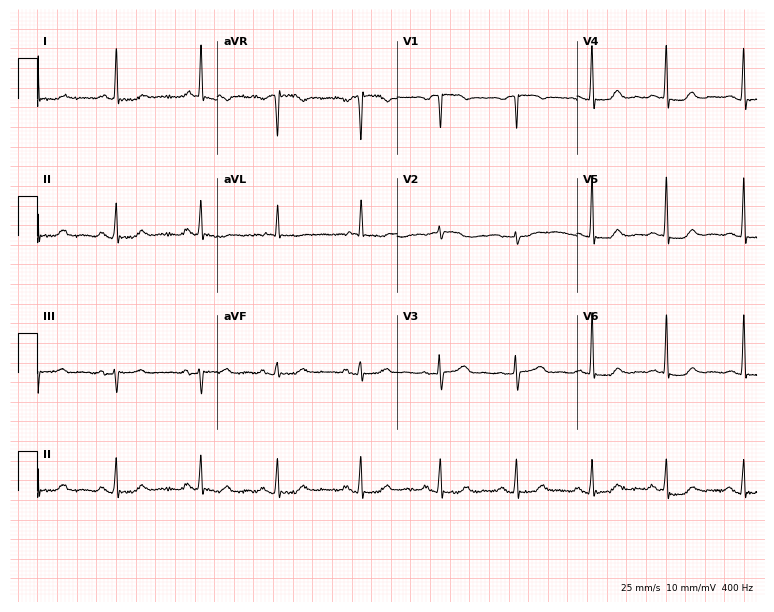
12-lead ECG (7.3-second recording at 400 Hz) from a female, 73 years old. Screened for six findings — first-degree AV block, right bundle branch block, left bundle branch block, sinus bradycardia, atrial fibrillation, sinus tachycardia — none is recorded. Other findings, if any, are not listed.